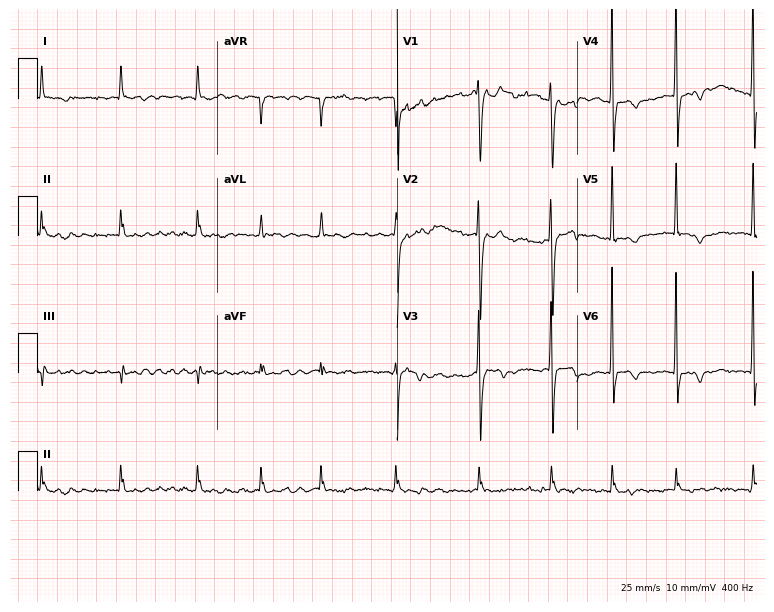
ECG (7.3-second recording at 400 Hz) — a 75-year-old male patient. Findings include atrial fibrillation (AF).